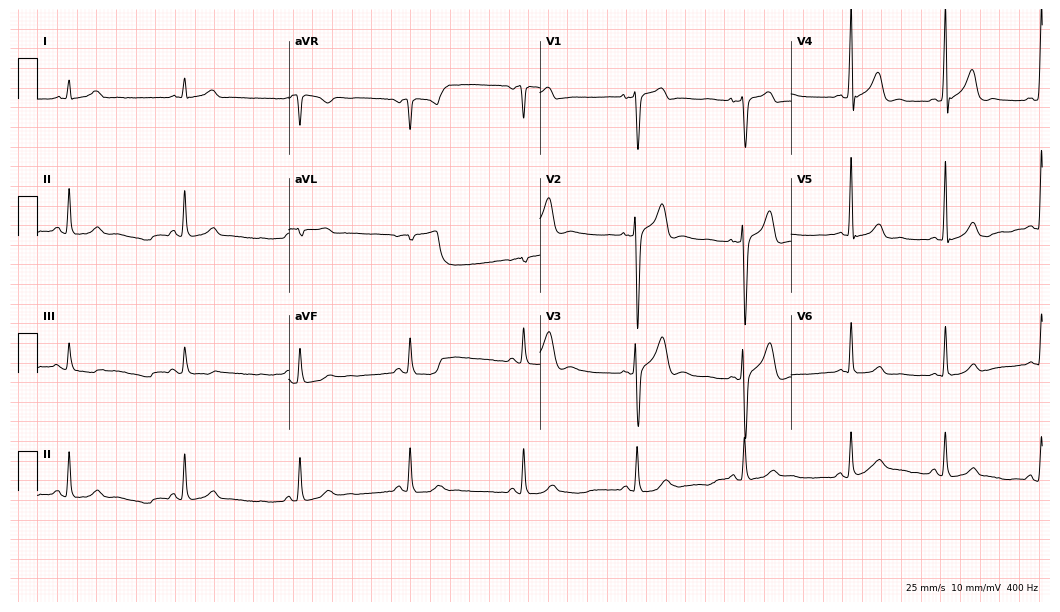
12-lead ECG from a 49-year-old male patient. Recorded interpretation: within normal limits.